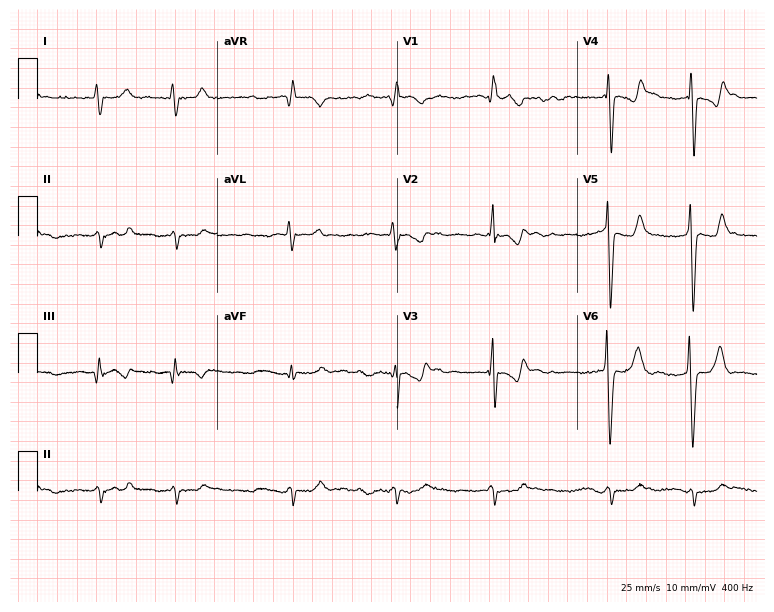
12-lead ECG from a man, 60 years old. No first-degree AV block, right bundle branch block, left bundle branch block, sinus bradycardia, atrial fibrillation or sinus tachycardia recorded for this tracing. Findings outside these six are not listed.